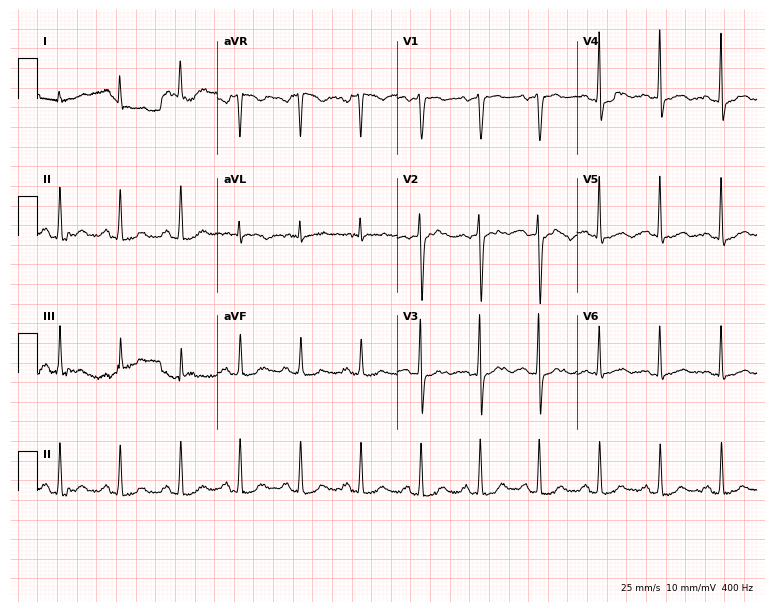
Electrocardiogram (7.3-second recording at 400 Hz), a 60-year-old female. Of the six screened findings (first-degree AV block, right bundle branch block, left bundle branch block, sinus bradycardia, atrial fibrillation, sinus tachycardia), none is recorded.